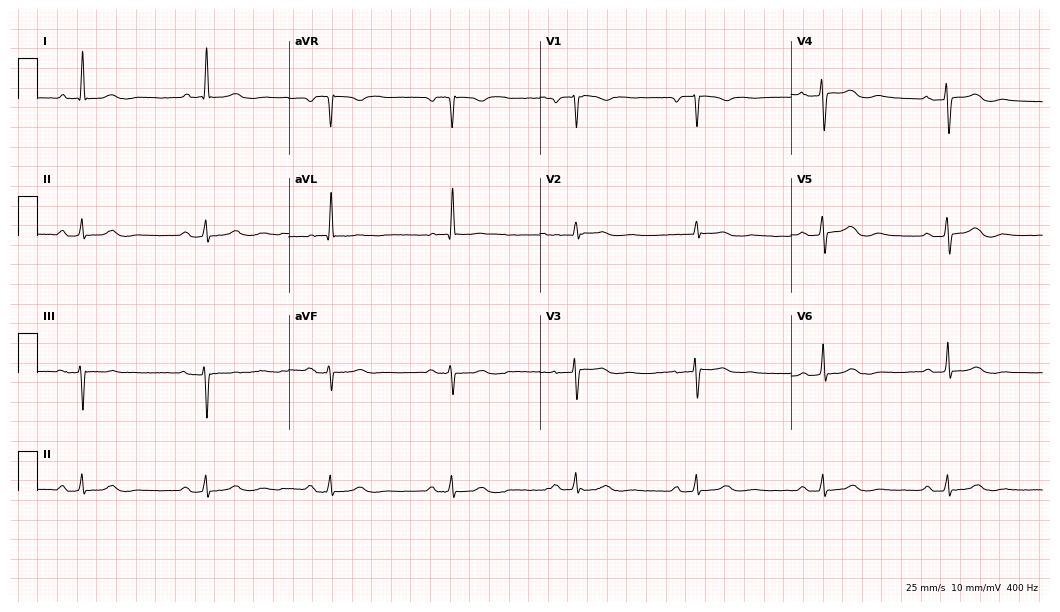
Resting 12-lead electrocardiogram. Patient: an 82-year-old female. None of these six findings is recorded: first-degree AV block, right bundle branch block, left bundle branch block, sinus bradycardia, atrial fibrillation, sinus tachycardia. Findings outside these six are not listed.